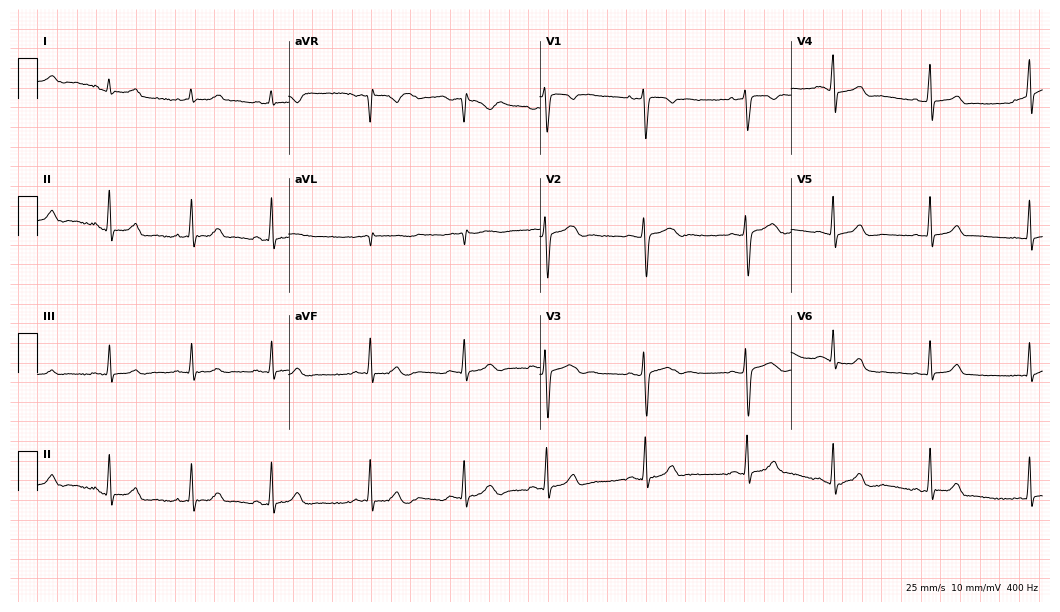
ECG — a female, 19 years old. Labelled as a normal ECG.